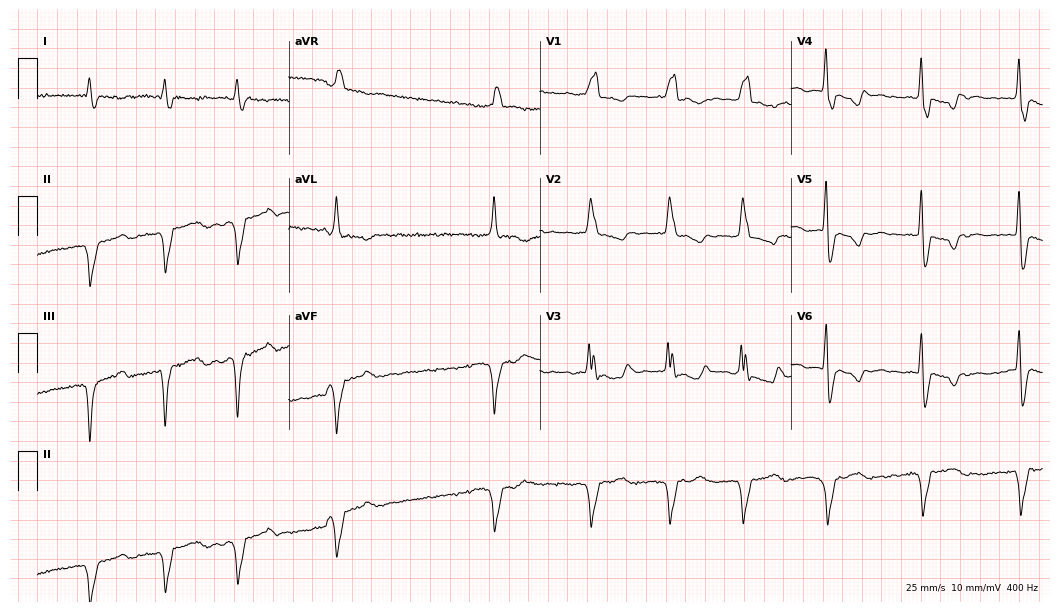
12-lead ECG from a male patient, 85 years old (10.2-second recording at 400 Hz). No first-degree AV block, right bundle branch block (RBBB), left bundle branch block (LBBB), sinus bradycardia, atrial fibrillation (AF) or sinus tachycardia recorded for this tracing. Other findings, if any, are not listed.